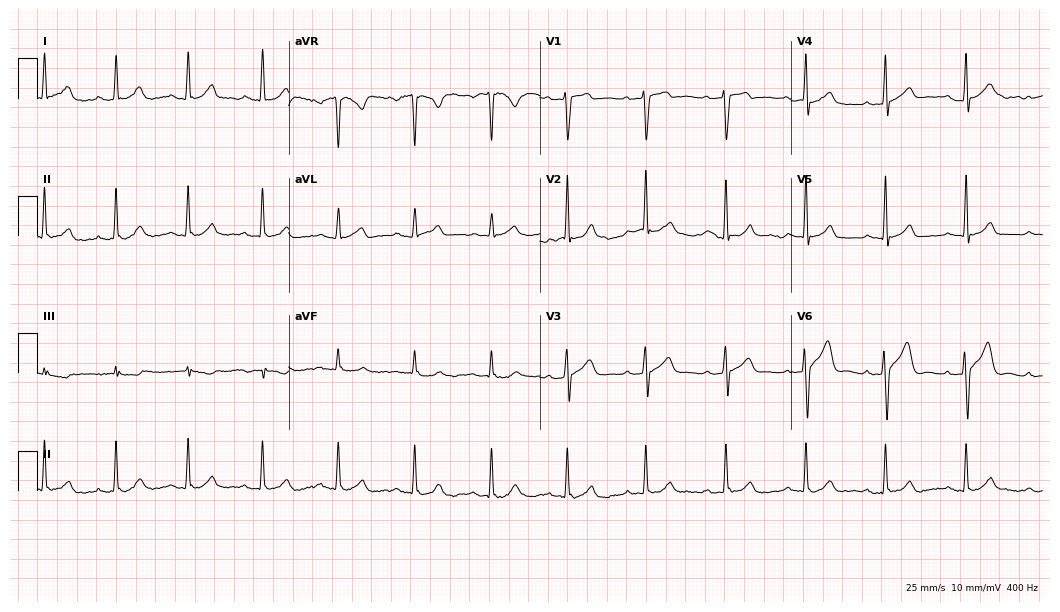
12-lead ECG (10.2-second recording at 400 Hz) from a man, 40 years old. Labelled as a normal ECG.